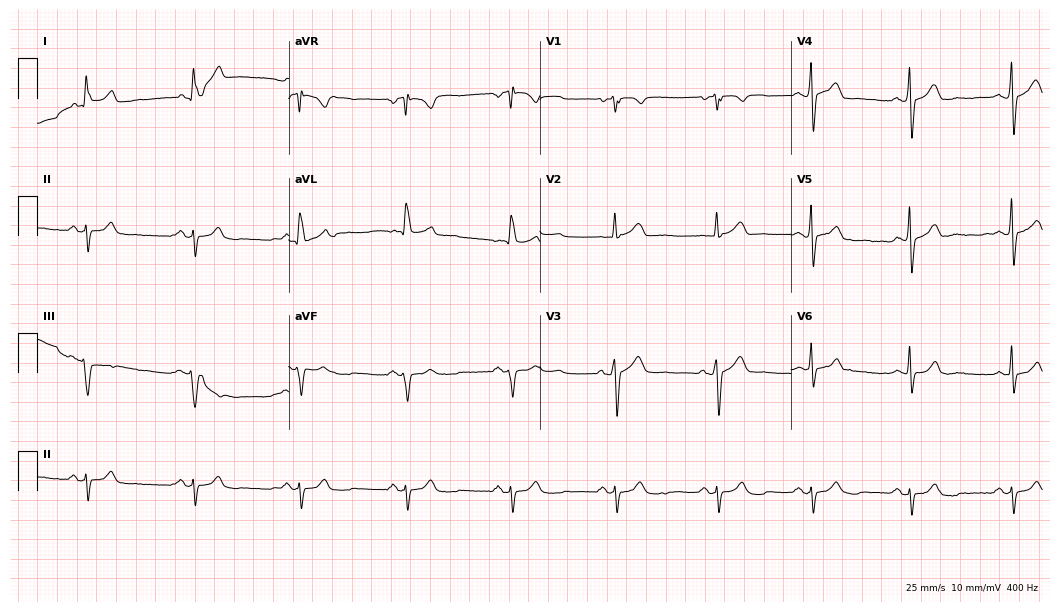
Electrocardiogram (10.2-second recording at 400 Hz), a male patient, 72 years old. Of the six screened findings (first-degree AV block, right bundle branch block, left bundle branch block, sinus bradycardia, atrial fibrillation, sinus tachycardia), none is recorded. Findings outside these six are not listed.